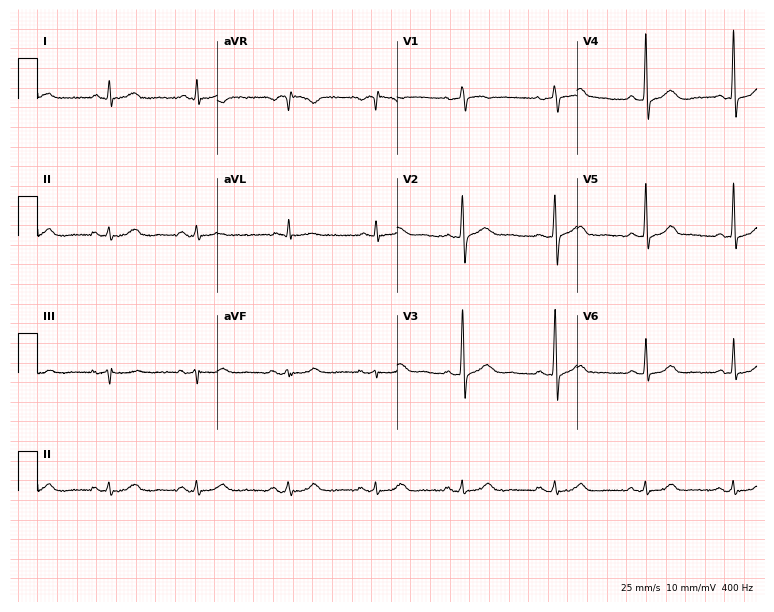
12-lead ECG from a 45-year-old male. No first-degree AV block, right bundle branch block, left bundle branch block, sinus bradycardia, atrial fibrillation or sinus tachycardia recorded for this tracing.